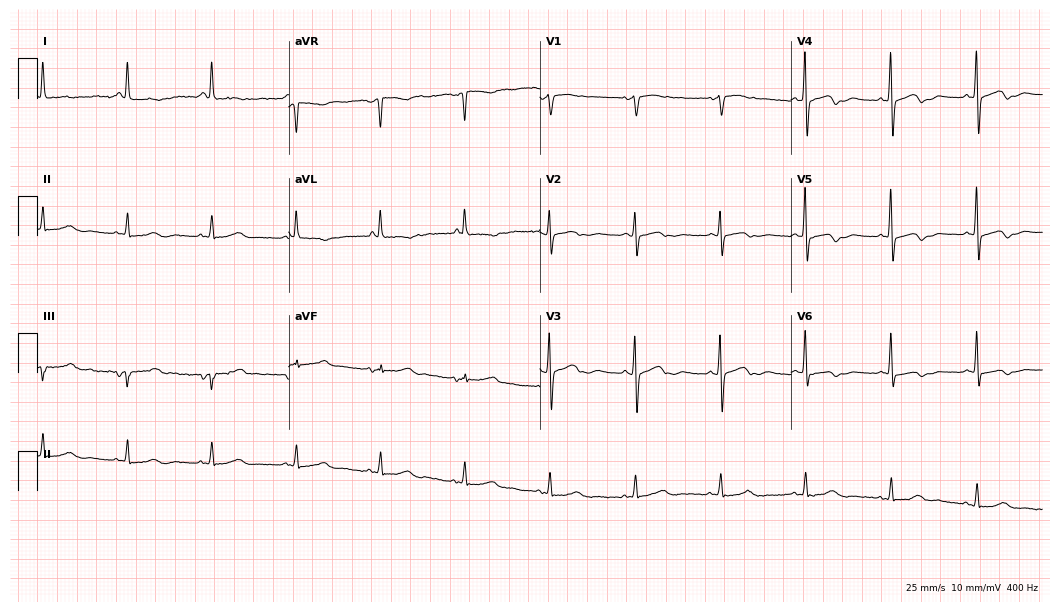
ECG (10.2-second recording at 400 Hz) — a woman, 82 years old. Screened for six findings — first-degree AV block, right bundle branch block (RBBB), left bundle branch block (LBBB), sinus bradycardia, atrial fibrillation (AF), sinus tachycardia — none is recorded. Other findings, if any, are not listed.